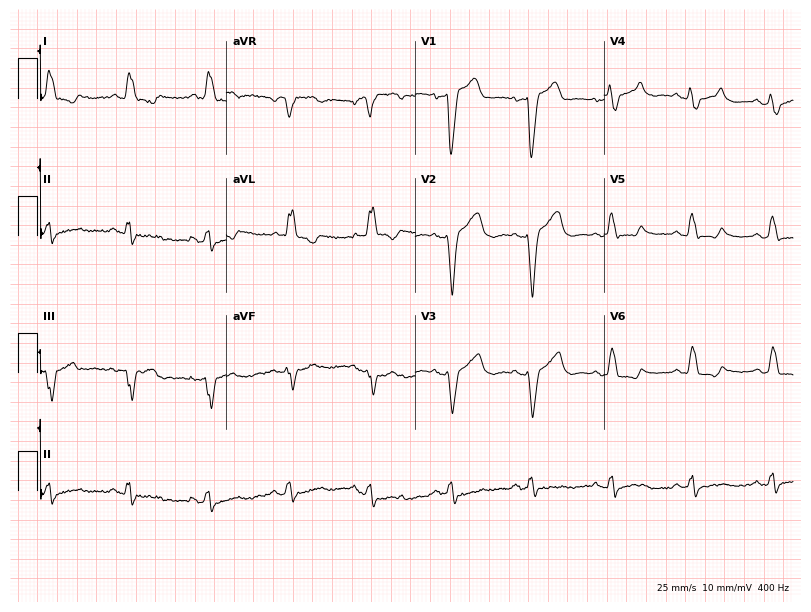
ECG (7.7-second recording at 400 Hz) — a female patient, 65 years old. Findings include left bundle branch block.